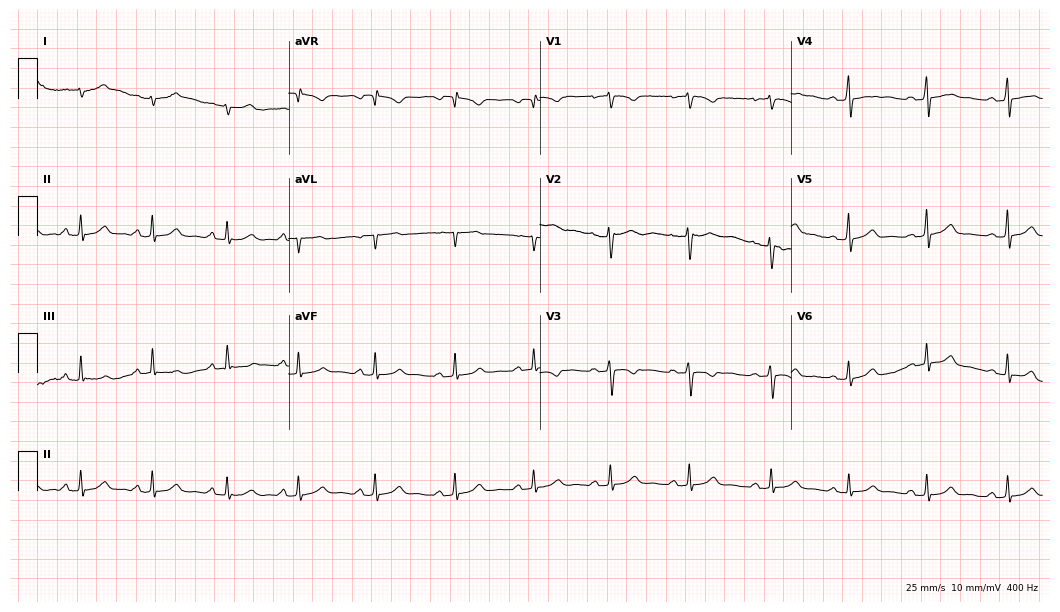
Resting 12-lead electrocardiogram. Patient: a female, 23 years old. Read as a normal ECG.